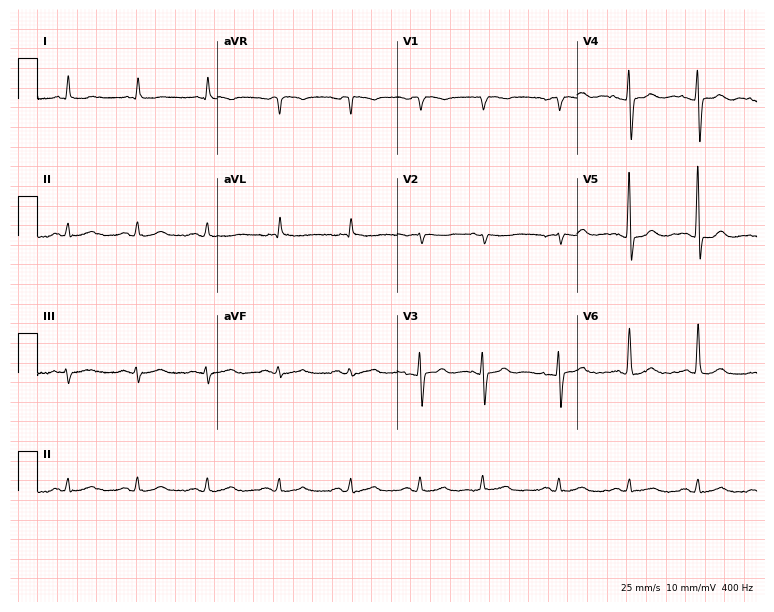
Electrocardiogram, a 78-year-old male. Of the six screened findings (first-degree AV block, right bundle branch block (RBBB), left bundle branch block (LBBB), sinus bradycardia, atrial fibrillation (AF), sinus tachycardia), none is recorded. Other findings, if any, are not listed.